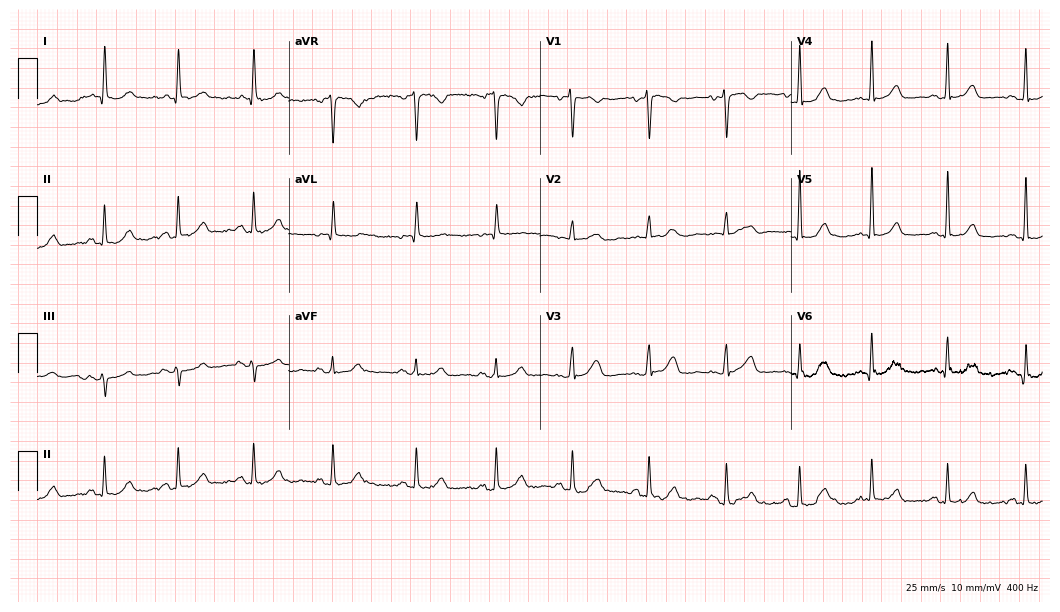
Standard 12-lead ECG recorded from a 72-year-old woman. Read as a normal ECG.